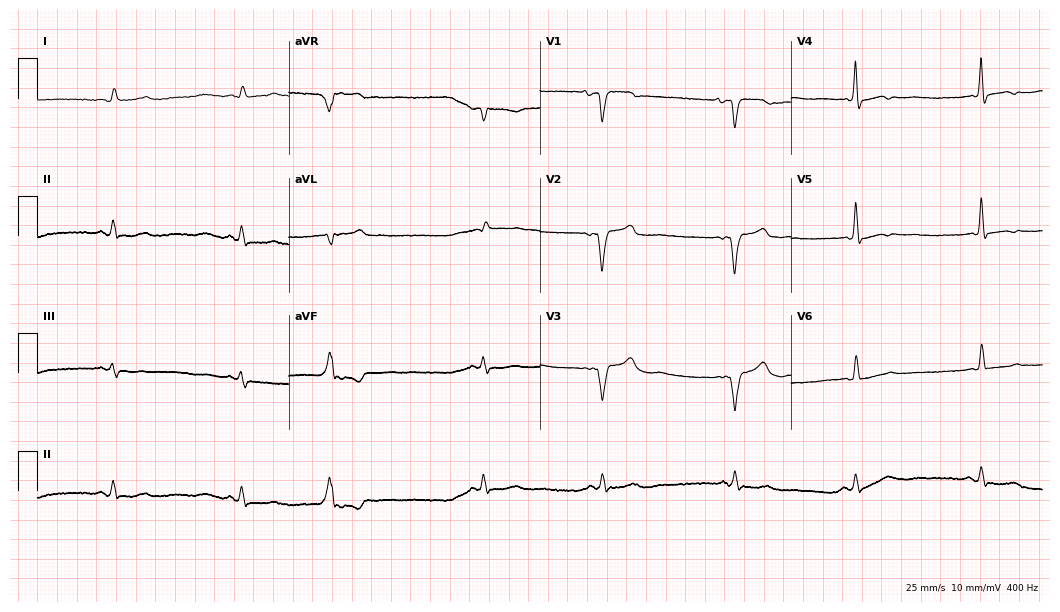
Electrocardiogram, an 80-year-old woman. Interpretation includes right bundle branch block, sinus bradycardia (a sinus rate of 50 beats per minute or less).